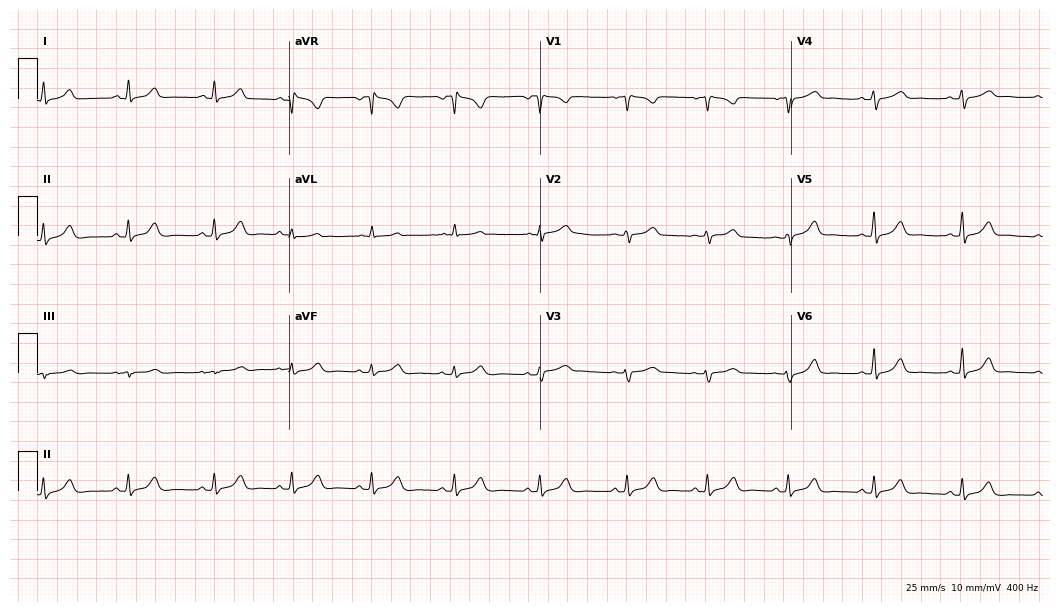
Resting 12-lead electrocardiogram (10.2-second recording at 400 Hz). Patient: a 24-year-old female. None of these six findings is recorded: first-degree AV block, right bundle branch block, left bundle branch block, sinus bradycardia, atrial fibrillation, sinus tachycardia.